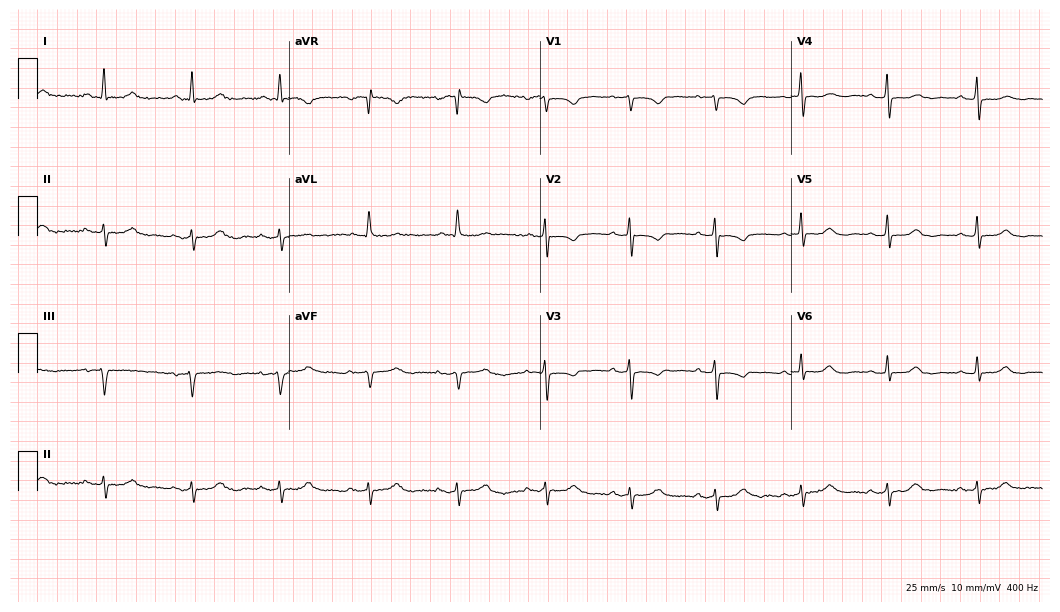
Electrocardiogram (10.2-second recording at 400 Hz), a woman, 56 years old. Overall reading on record: normal ECG.